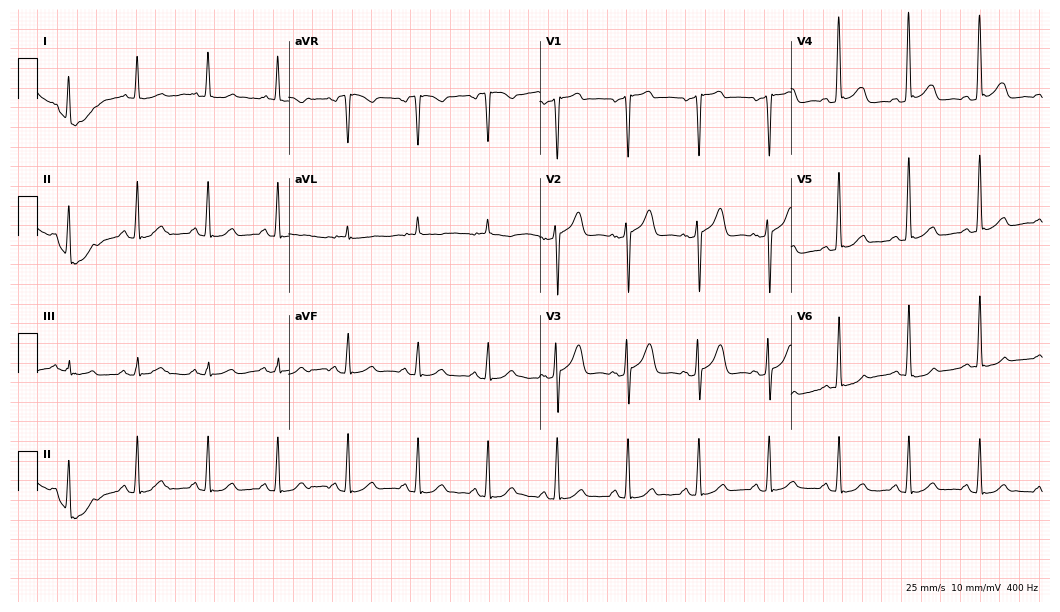
Electrocardiogram (10.2-second recording at 400 Hz), a male, 50 years old. Of the six screened findings (first-degree AV block, right bundle branch block (RBBB), left bundle branch block (LBBB), sinus bradycardia, atrial fibrillation (AF), sinus tachycardia), none is recorded.